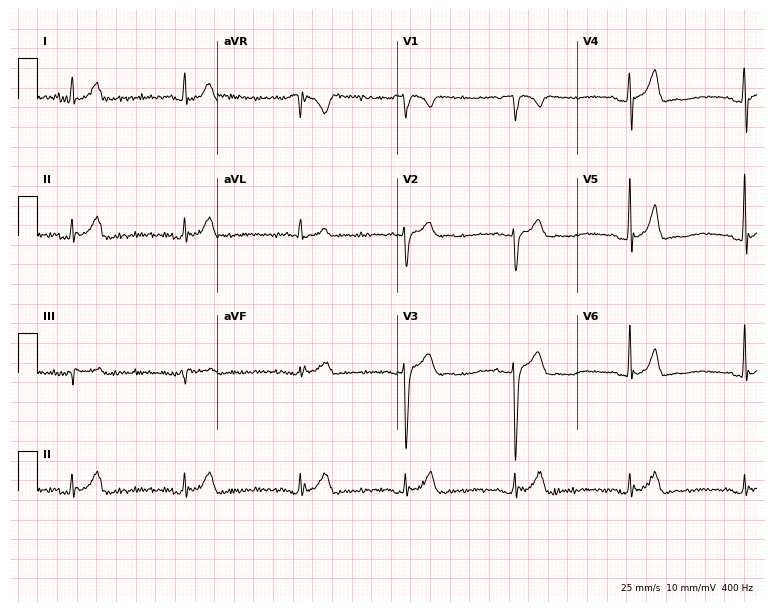
Resting 12-lead electrocardiogram (7.3-second recording at 400 Hz). Patient: a man, 24 years old. None of these six findings is recorded: first-degree AV block, right bundle branch block (RBBB), left bundle branch block (LBBB), sinus bradycardia, atrial fibrillation (AF), sinus tachycardia.